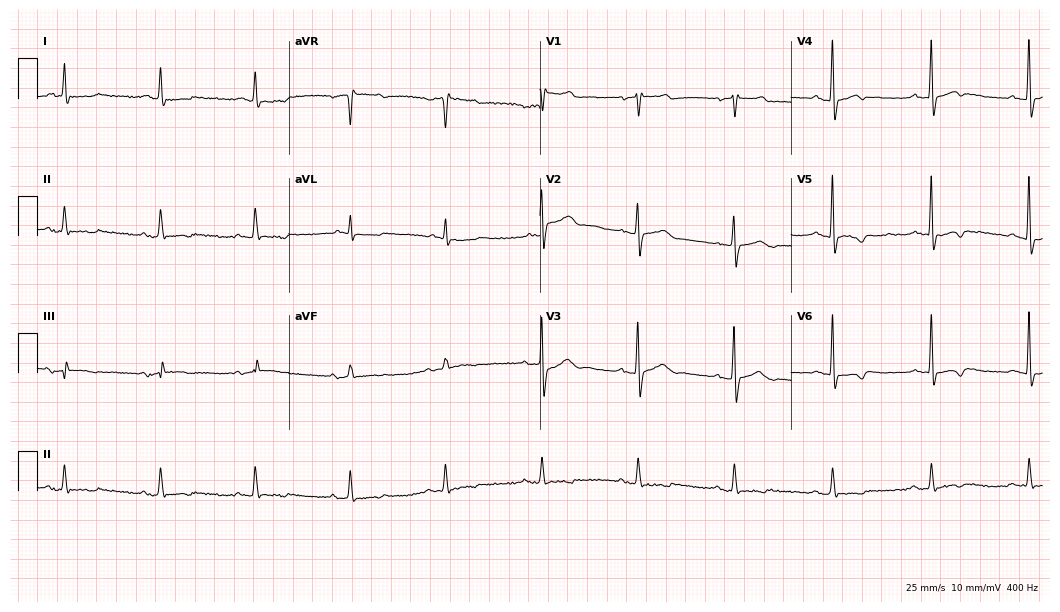
12-lead ECG from an 87-year-old male patient. Screened for six findings — first-degree AV block, right bundle branch block, left bundle branch block, sinus bradycardia, atrial fibrillation, sinus tachycardia — none is recorded.